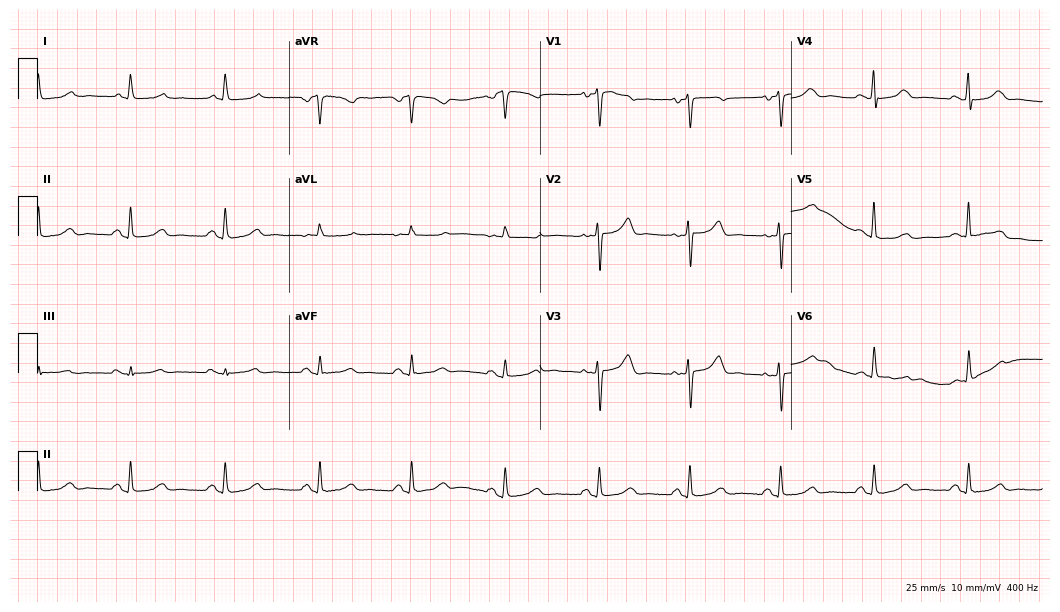
12-lead ECG from a 45-year-old female patient. Labelled as a normal ECG.